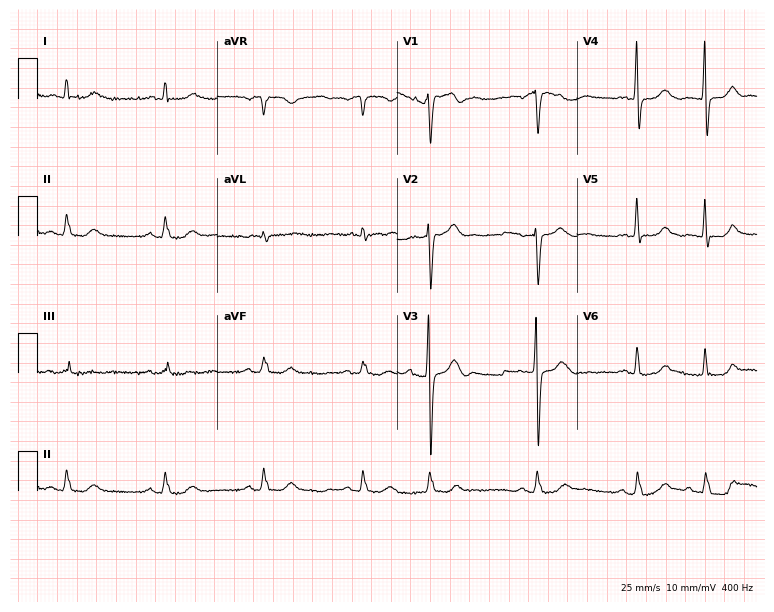
ECG (7.3-second recording at 400 Hz) — a 65-year-old female patient. Screened for six findings — first-degree AV block, right bundle branch block (RBBB), left bundle branch block (LBBB), sinus bradycardia, atrial fibrillation (AF), sinus tachycardia — none is recorded.